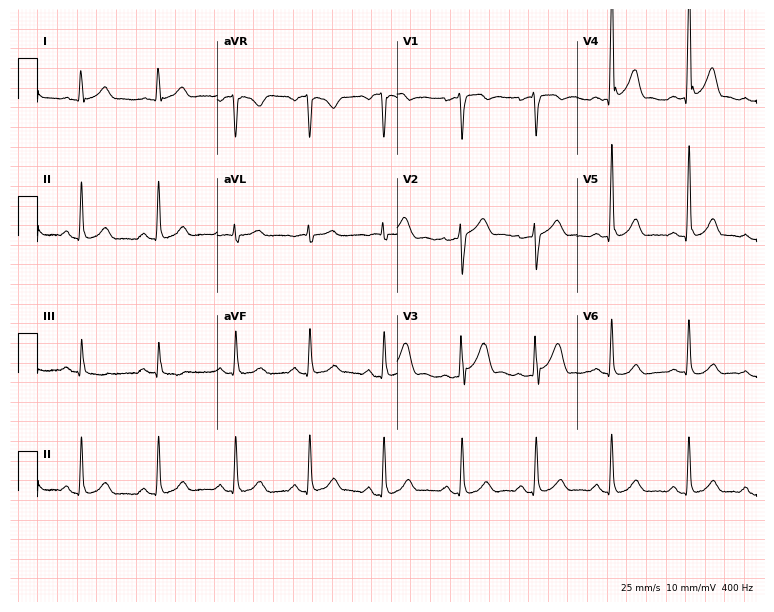
12-lead ECG from a male, 26 years old. No first-degree AV block, right bundle branch block, left bundle branch block, sinus bradycardia, atrial fibrillation or sinus tachycardia recorded for this tracing.